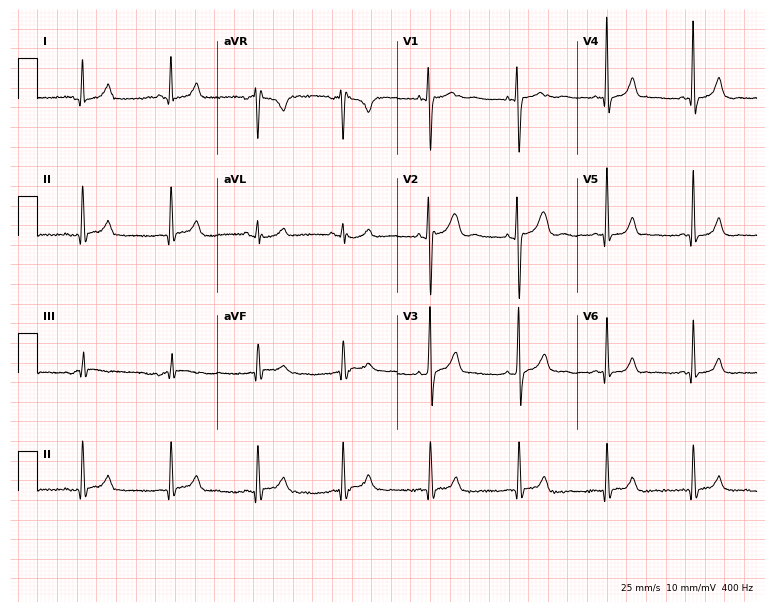
ECG — a 22-year-old man. Labelled as a normal ECG.